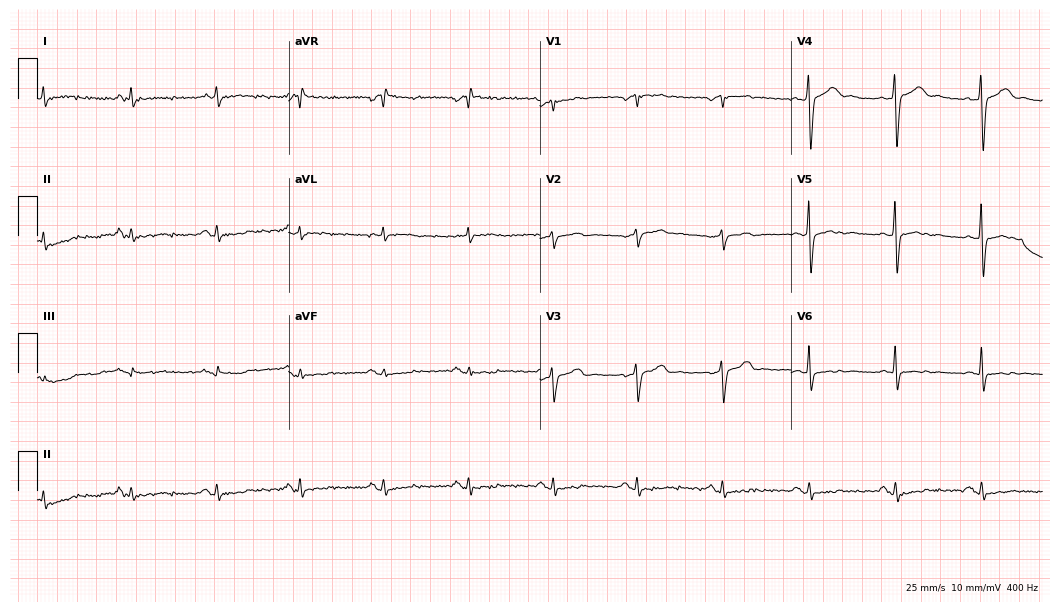
Resting 12-lead electrocardiogram. Patient: a 49-year-old man. None of these six findings is recorded: first-degree AV block, right bundle branch block (RBBB), left bundle branch block (LBBB), sinus bradycardia, atrial fibrillation (AF), sinus tachycardia.